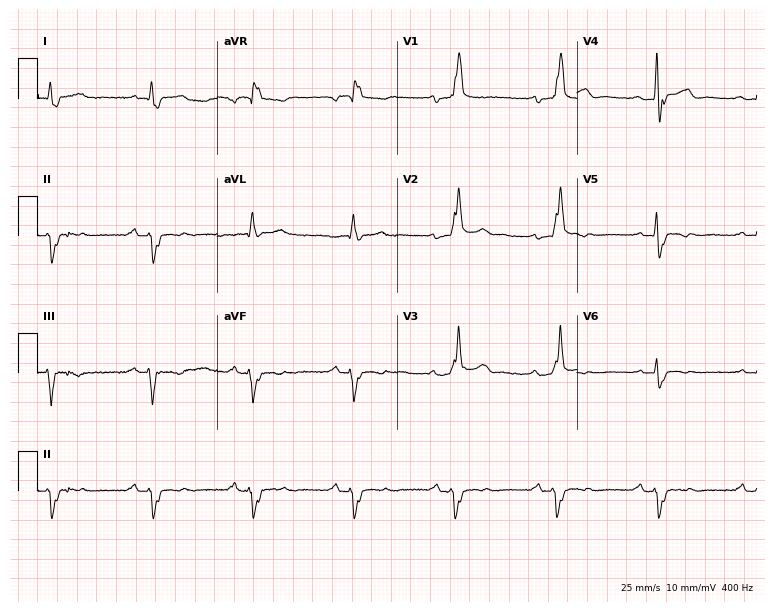
Electrocardiogram (7.3-second recording at 400 Hz), a 67-year-old male. Interpretation includes first-degree AV block, right bundle branch block.